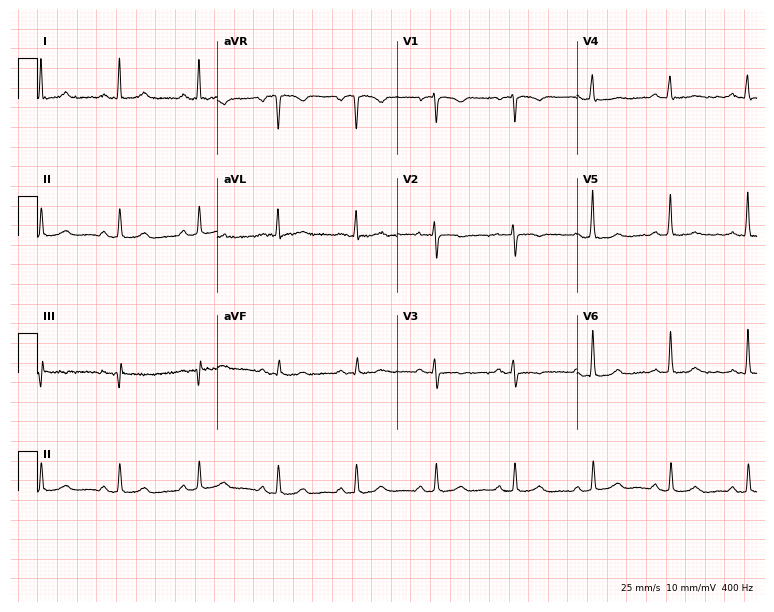
12-lead ECG (7.3-second recording at 400 Hz) from a woman, 48 years old. Labelled as a normal ECG.